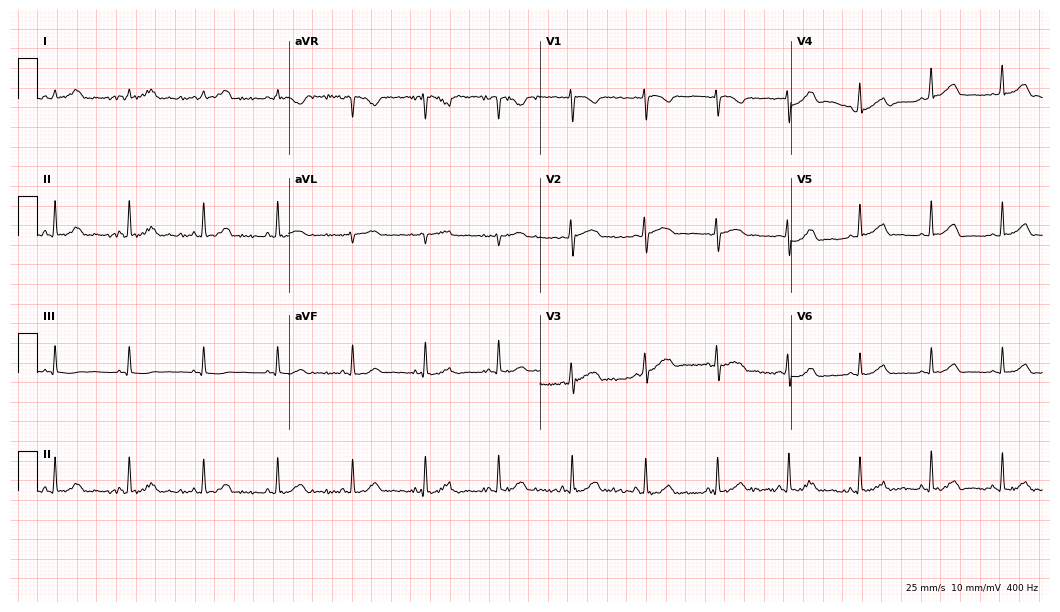
Electrocardiogram (10.2-second recording at 400 Hz), a 30-year-old female. Overall reading on record: normal ECG.